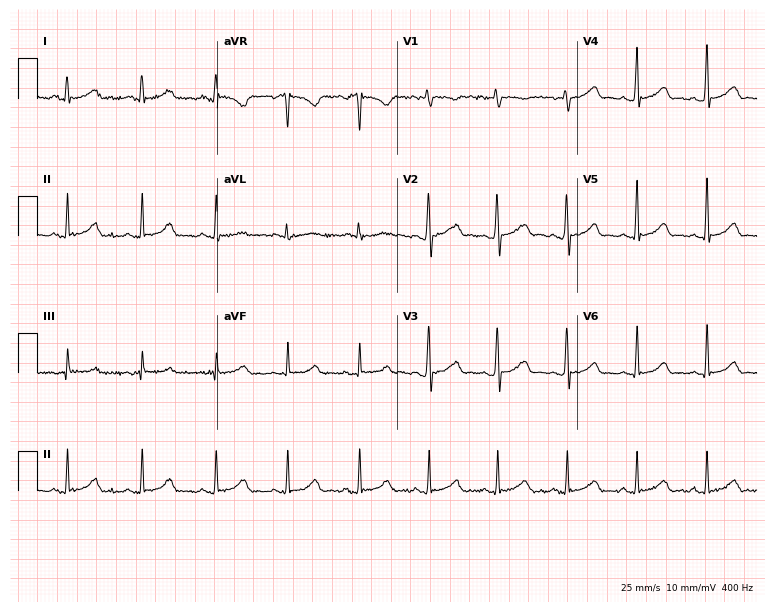
Electrocardiogram (7.3-second recording at 400 Hz), a female patient, 18 years old. Overall reading on record: normal ECG.